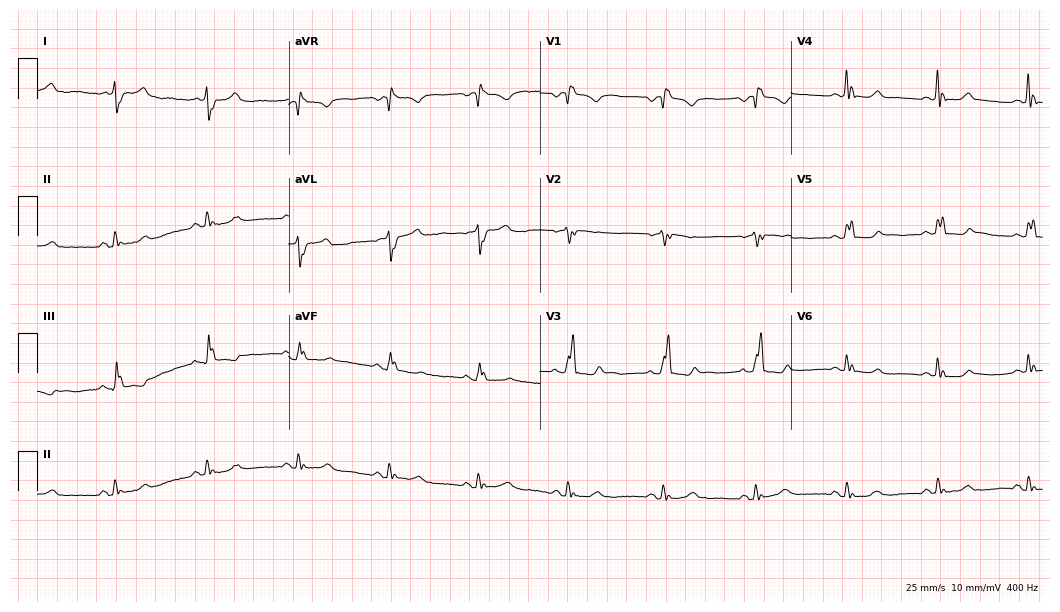
Standard 12-lead ECG recorded from an 80-year-old female. The tracing shows right bundle branch block (RBBB).